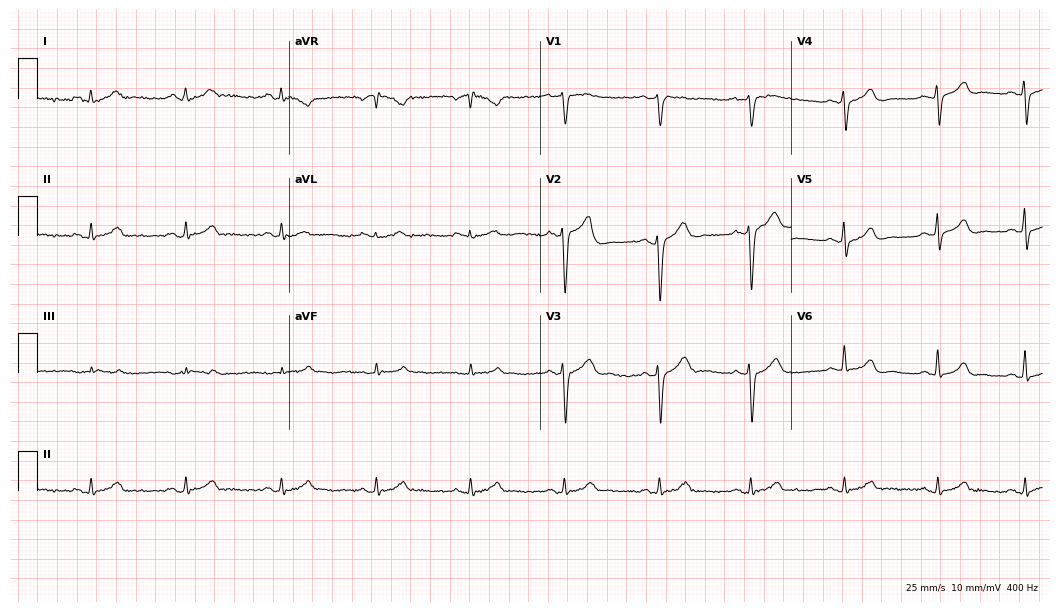
Electrocardiogram, a 25-year-old man. Of the six screened findings (first-degree AV block, right bundle branch block, left bundle branch block, sinus bradycardia, atrial fibrillation, sinus tachycardia), none is recorded.